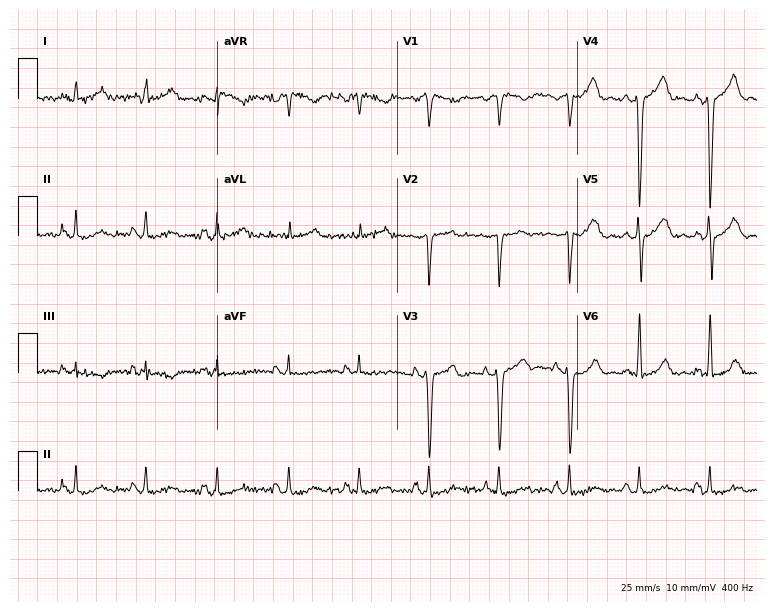
ECG (7.3-second recording at 400 Hz) — a 40-year-old male. Screened for six findings — first-degree AV block, right bundle branch block, left bundle branch block, sinus bradycardia, atrial fibrillation, sinus tachycardia — none is recorded. Only these six findings were labelled.